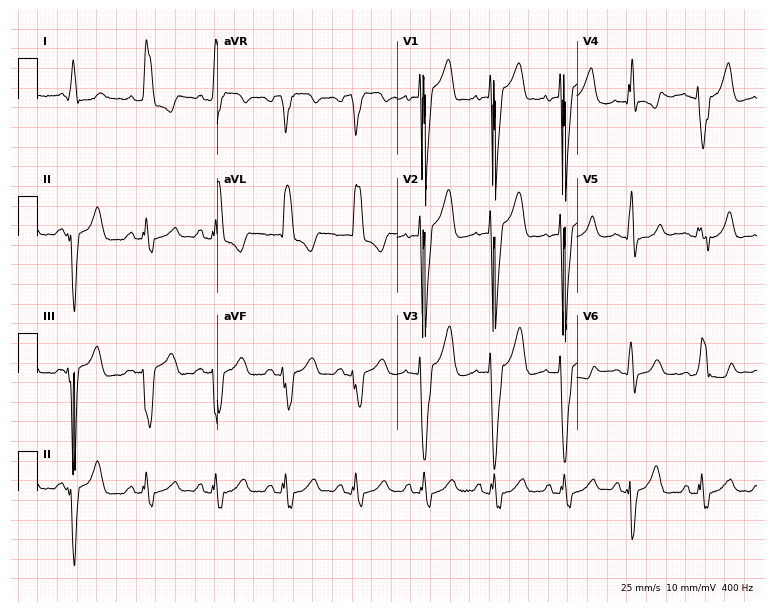
12-lead ECG from a 70-year-old female (7.3-second recording at 400 Hz). Shows left bundle branch block.